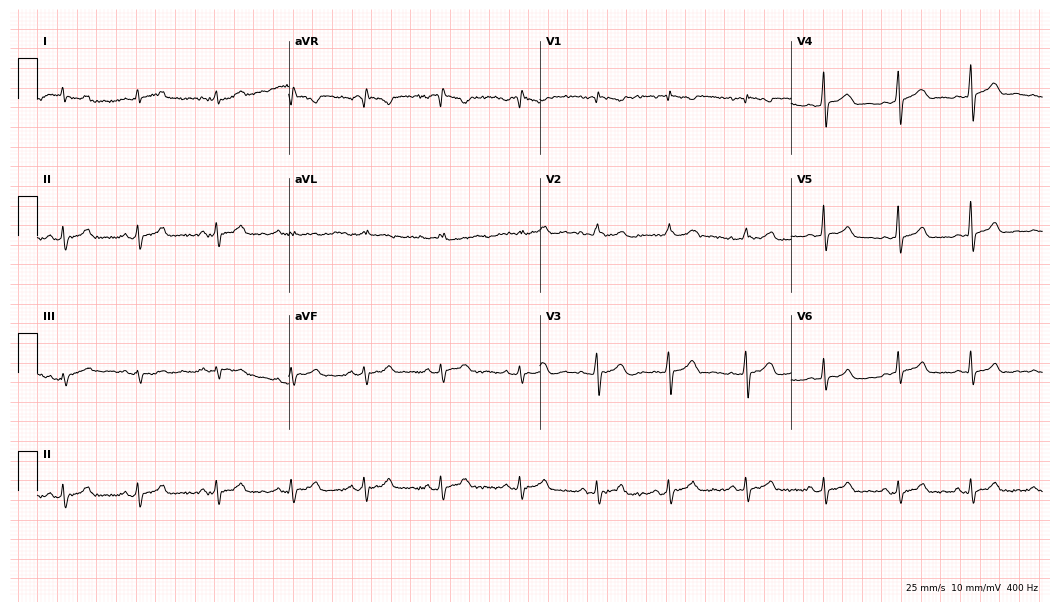
Electrocardiogram, a 28-year-old female. Overall reading on record: normal ECG.